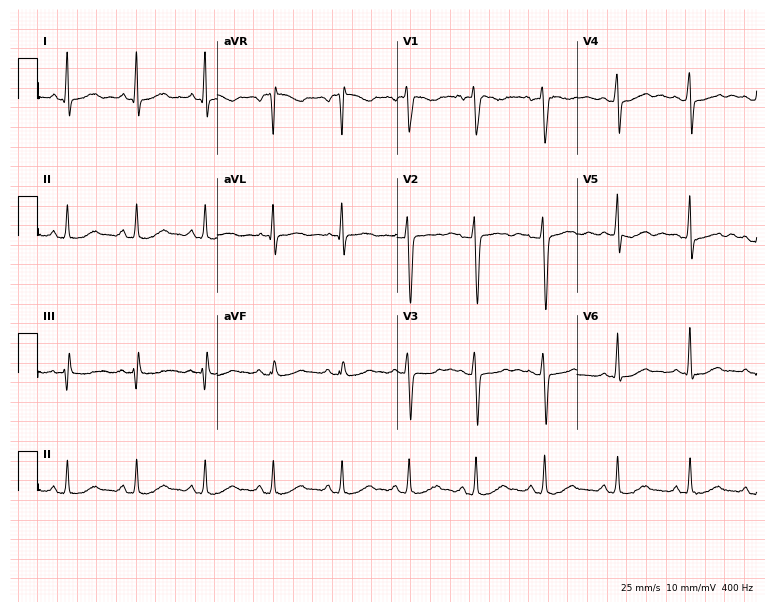
ECG (7.3-second recording at 400 Hz) — a female patient, 44 years old. Screened for six findings — first-degree AV block, right bundle branch block (RBBB), left bundle branch block (LBBB), sinus bradycardia, atrial fibrillation (AF), sinus tachycardia — none is recorded. Other findings, if any, are not listed.